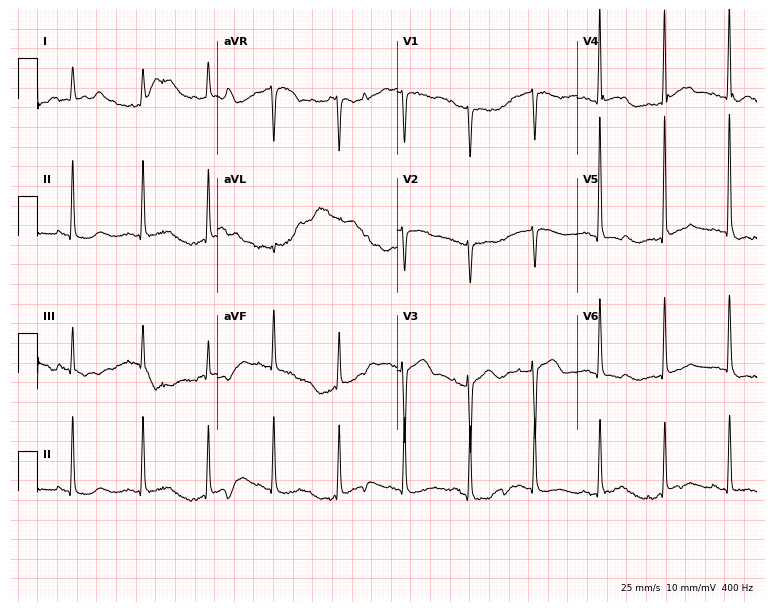
Resting 12-lead electrocardiogram. Patient: an 84-year-old female. None of these six findings is recorded: first-degree AV block, right bundle branch block (RBBB), left bundle branch block (LBBB), sinus bradycardia, atrial fibrillation (AF), sinus tachycardia.